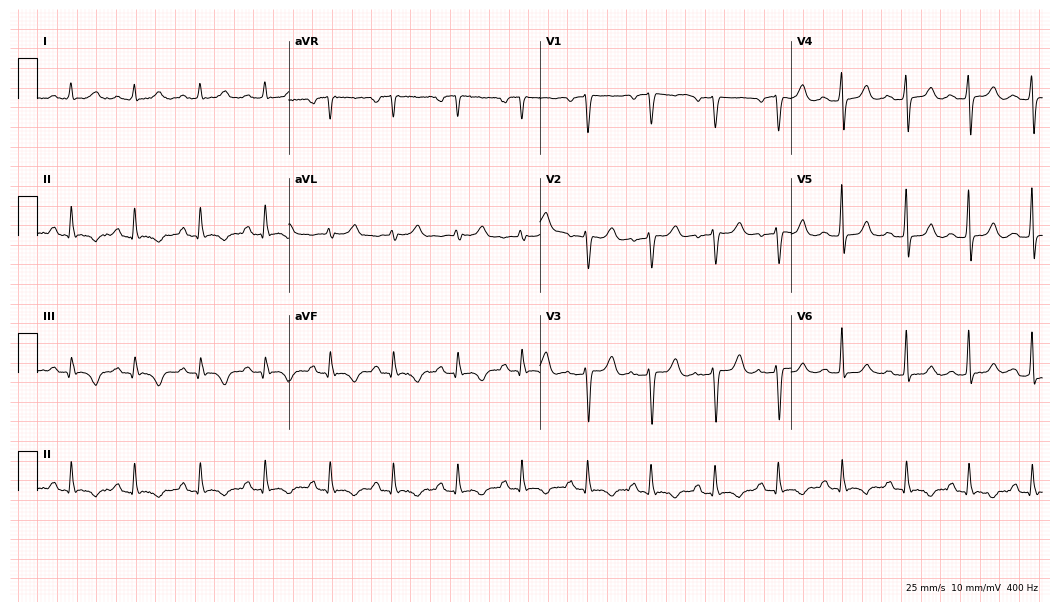
Electrocardiogram (10.2-second recording at 400 Hz), a female patient, 61 years old. Of the six screened findings (first-degree AV block, right bundle branch block (RBBB), left bundle branch block (LBBB), sinus bradycardia, atrial fibrillation (AF), sinus tachycardia), none is recorded. Findings outside these six are not listed.